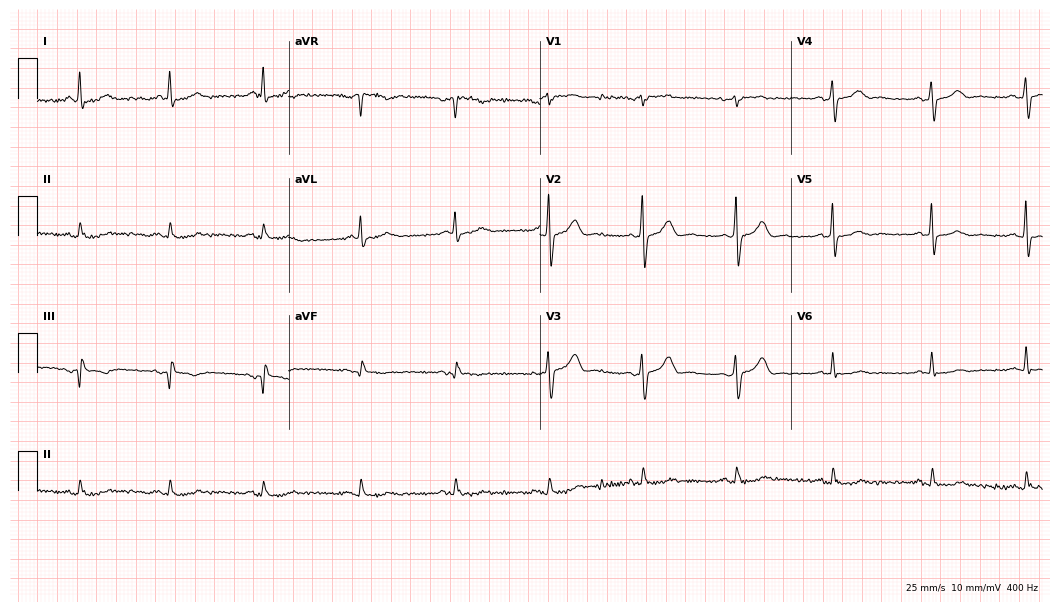
Resting 12-lead electrocardiogram. Patient: a female, 60 years old. None of these six findings is recorded: first-degree AV block, right bundle branch block (RBBB), left bundle branch block (LBBB), sinus bradycardia, atrial fibrillation (AF), sinus tachycardia.